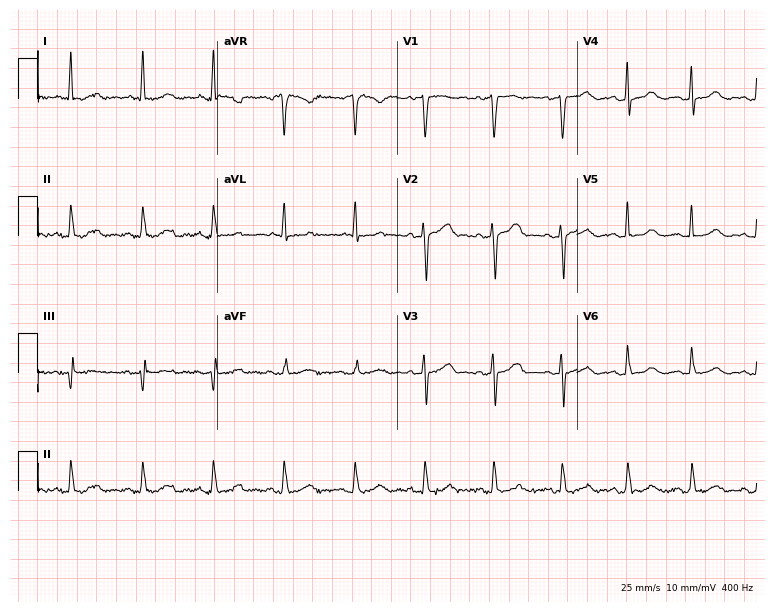
12-lead ECG from a 65-year-old male. Labelled as a normal ECG.